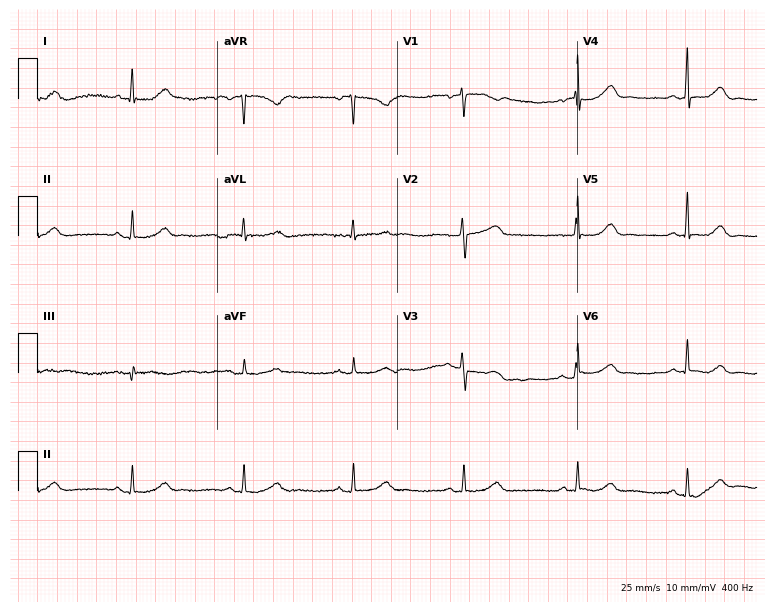
Standard 12-lead ECG recorded from a 66-year-old female patient (7.3-second recording at 400 Hz). Read as a normal ECG.